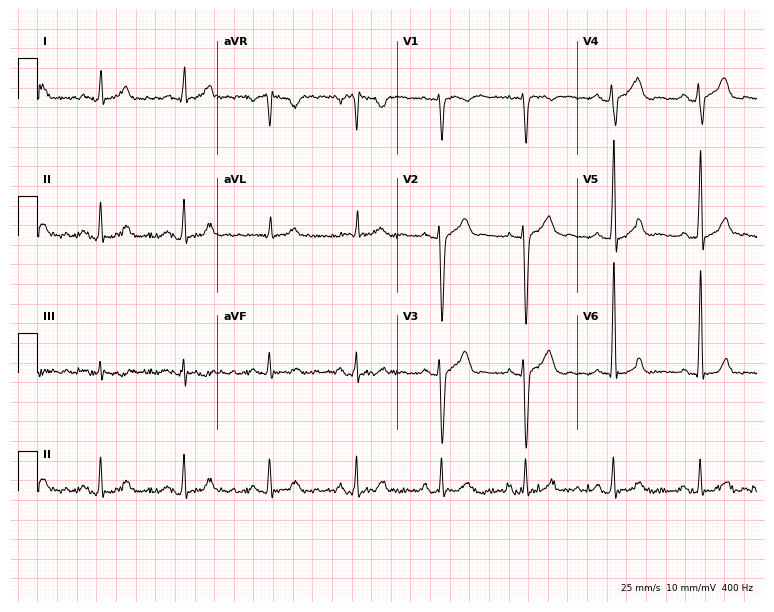
12-lead ECG from a man, 41 years old. Screened for six findings — first-degree AV block, right bundle branch block, left bundle branch block, sinus bradycardia, atrial fibrillation, sinus tachycardia — none is recorded.